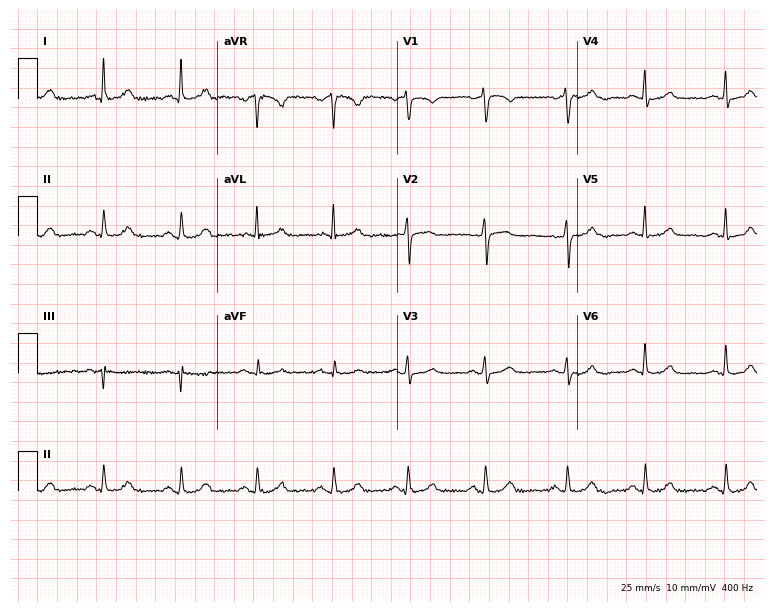
Standard 12-lead ECG recorded from a 52-year-old female (7.3-second recording at 400 Hz). Read as a normal ECG.